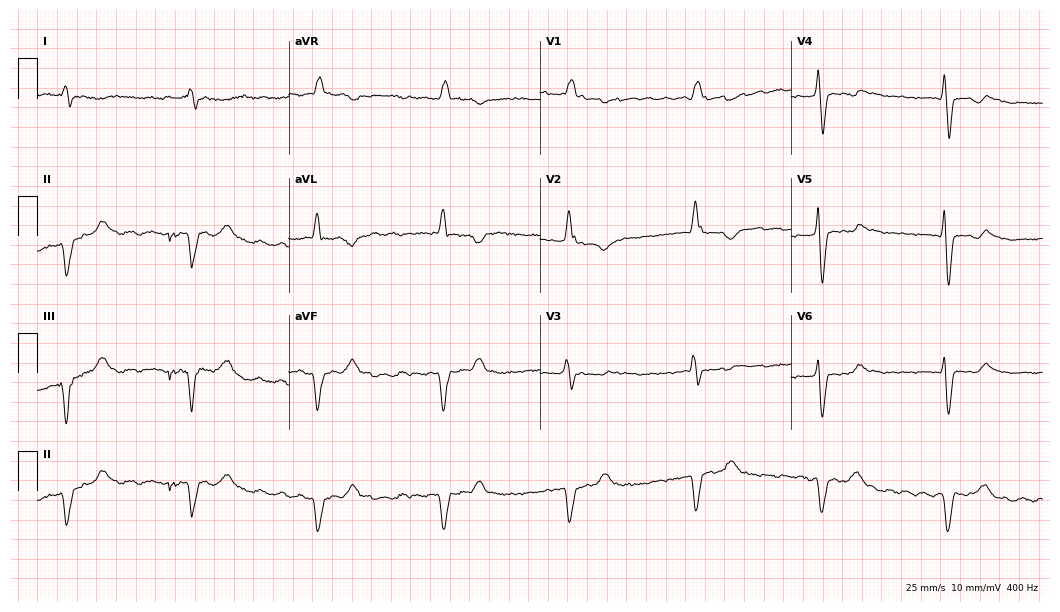
Electrocardiogram, a 75-year-old man. Of the six screened findings (first-degree AV block, right bundle branch block (RBBB), left bundle branch block (LBBB), sinus bradycardia, atrial fibrillation (AF), sinus tachycardia), none is recorded.